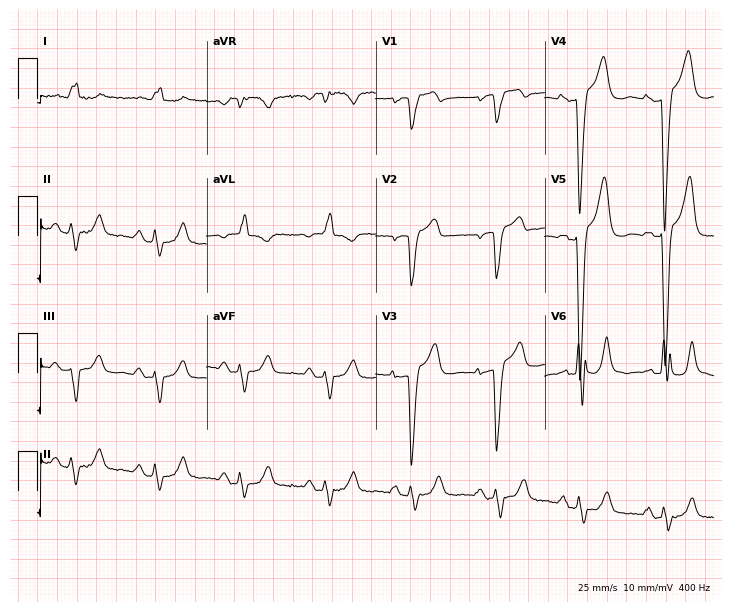
Electrocardiogram (6.9-second recording at 400 Hz), a female patient, 82 years old. Interpretation includes left bundle branch block.